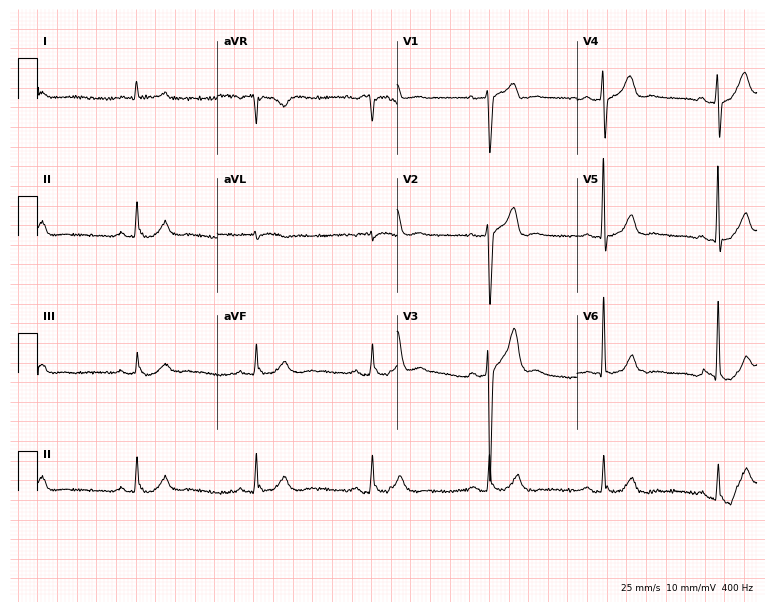
12-lead ECG from a male, 76 years old. Findings include sinus bradycardia (a sinus rate of 50 beats per minute or less).